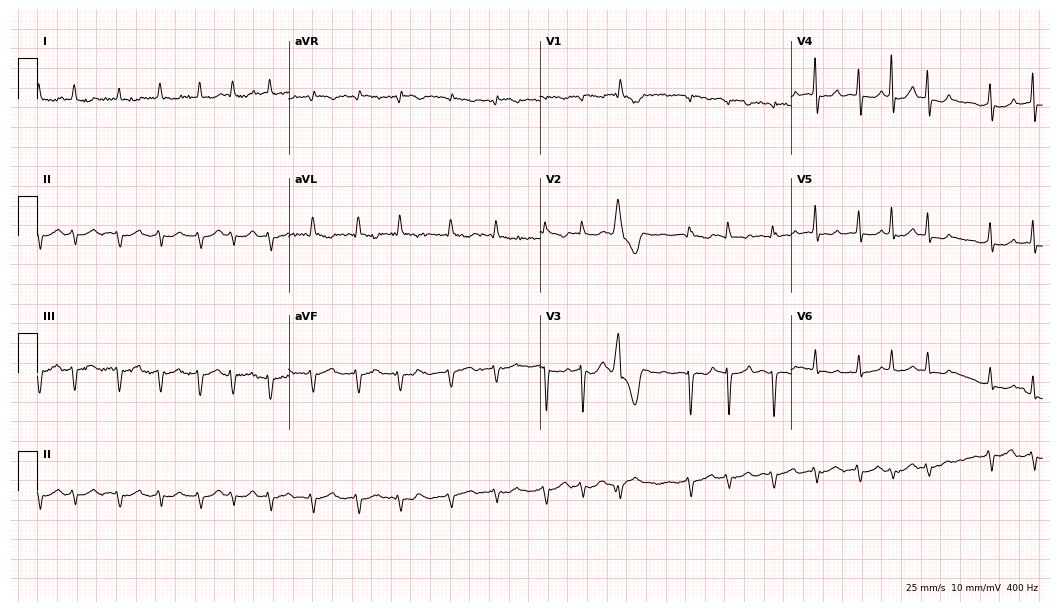
ECG (10.2-second recording at 400 Hz) — a 78-year-old female patient. Findings include atrial fibrillation (AF).